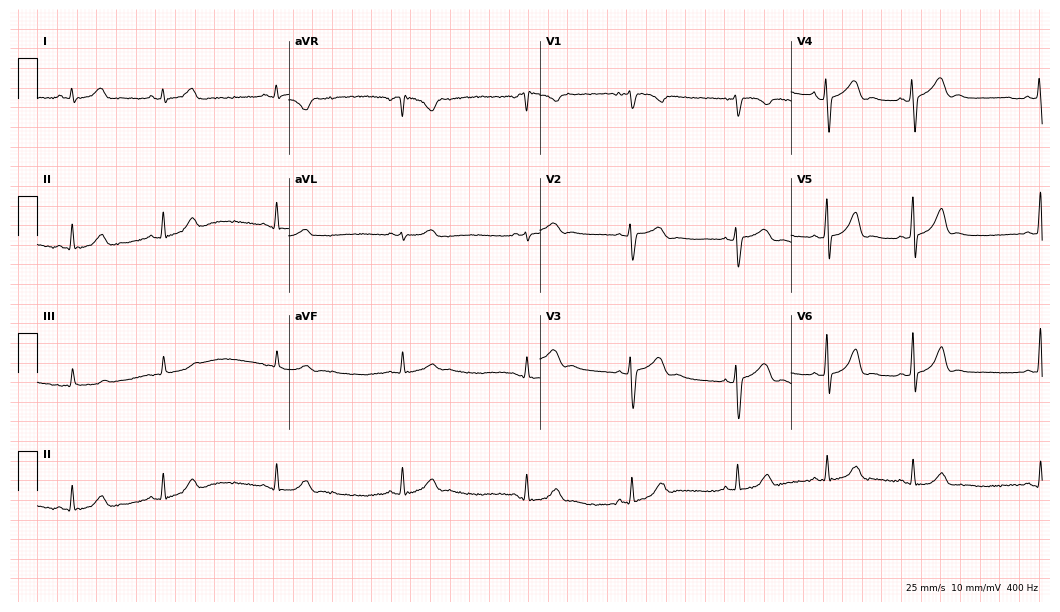
ECG — a 26-year-old female patient. Screened for six findings — first-degree AV block, right bundle branch block (RBBB), left bundle branch block (LBBB), sinus bradycardia, atrial fibrillation (AF), sinus tachycardia — none is recorded. Findings outside these six are not listed.